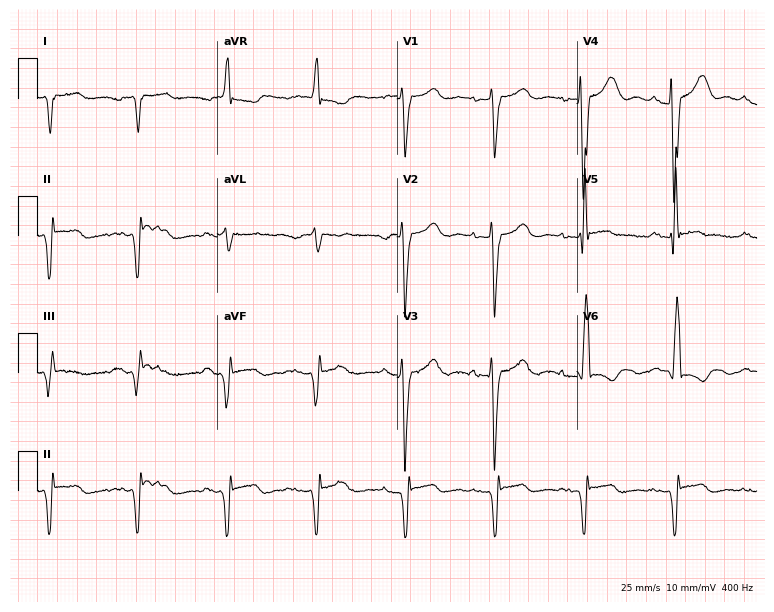
12-lead ECG (7.3-second recording at 400 Hz) from a 60-year-old male. Screened for six findings — first-degree AV block, right bundle branch block, left bundle branch block, sinus bradycardia, atrial fibrillation, sinus tachycardia — none is recorded. Other findings, if any, are not listed.